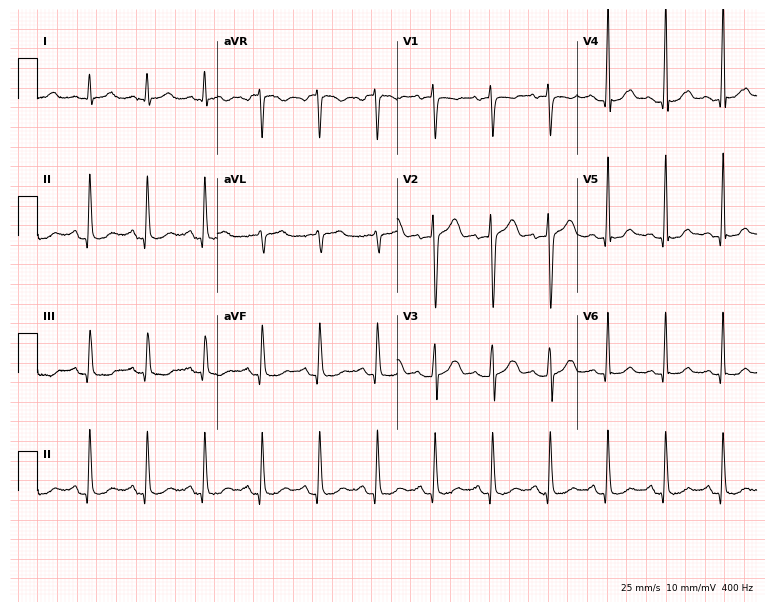
Standard 12-lead ECG recorded from a 50-year-old male patient. The tracing shows sinus tachycardia (a sinus rate of 100 beats per minute or more).